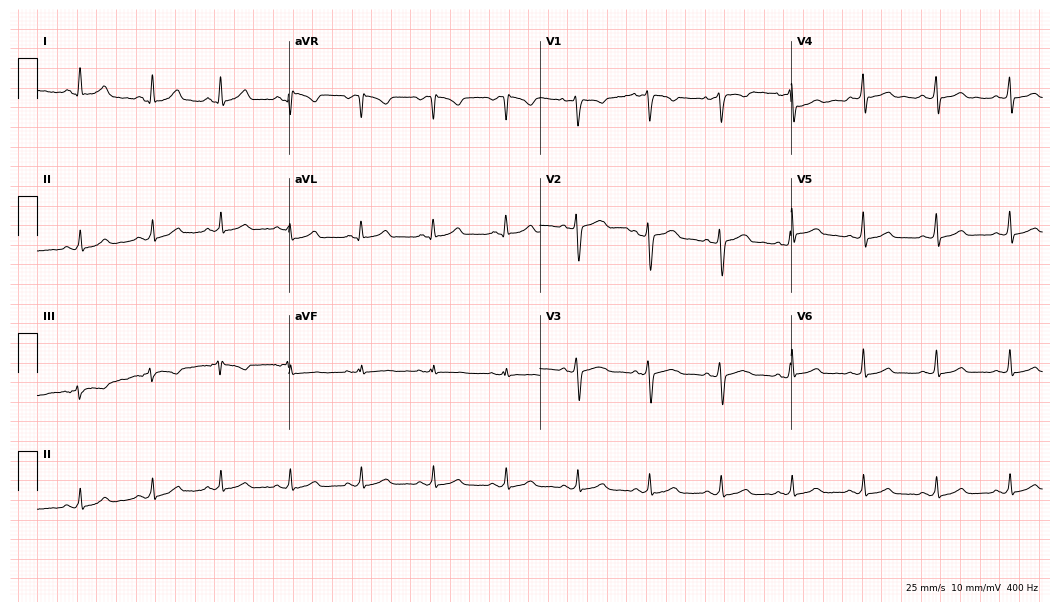
12-lead ECG from a 29-year-old woman (10.2-second recording at 400 Hz). Recorded interpretation: within normal limits.